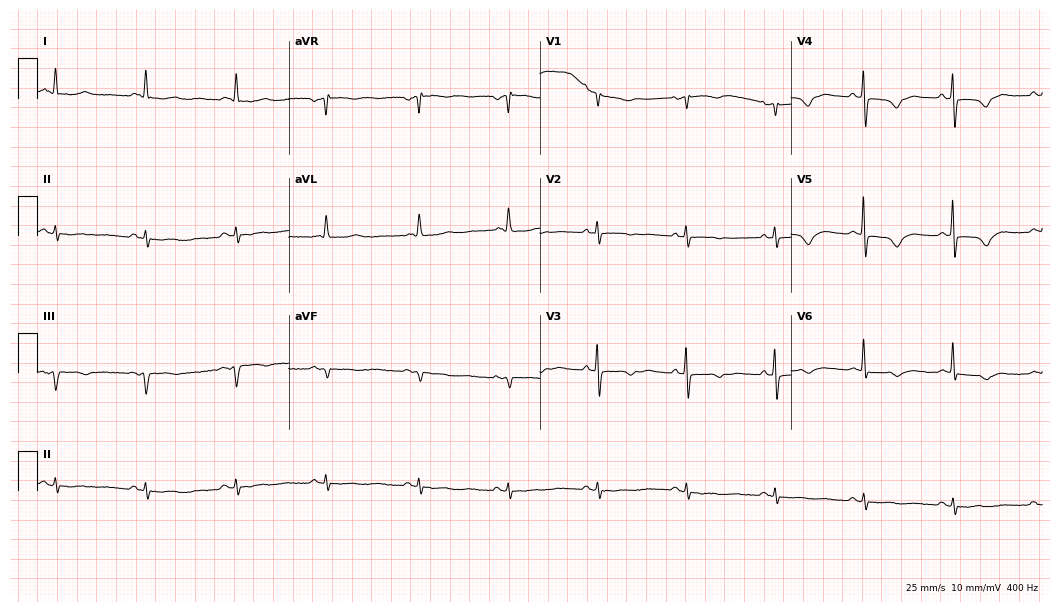
Standard 12-lead ECG recorded from a female, 78 years old. None of these six findings is recorded: first-degree AV block, right bundle branch block, left bundle branch block, sinus bradycardia, atrial fibrillation, sinus tachycardia. Other findings, if any, are not listed.